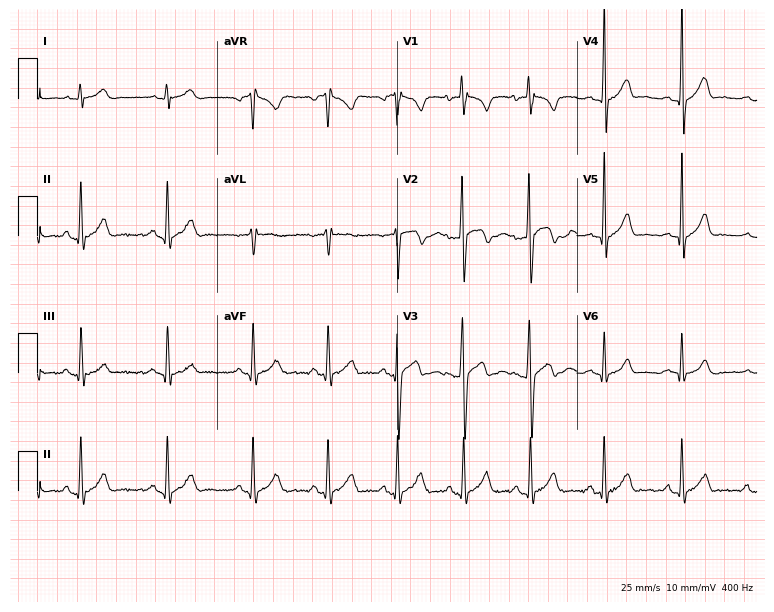
12-lead ECG from a man, 20 years old. Recorded interpretation: within normal limits.